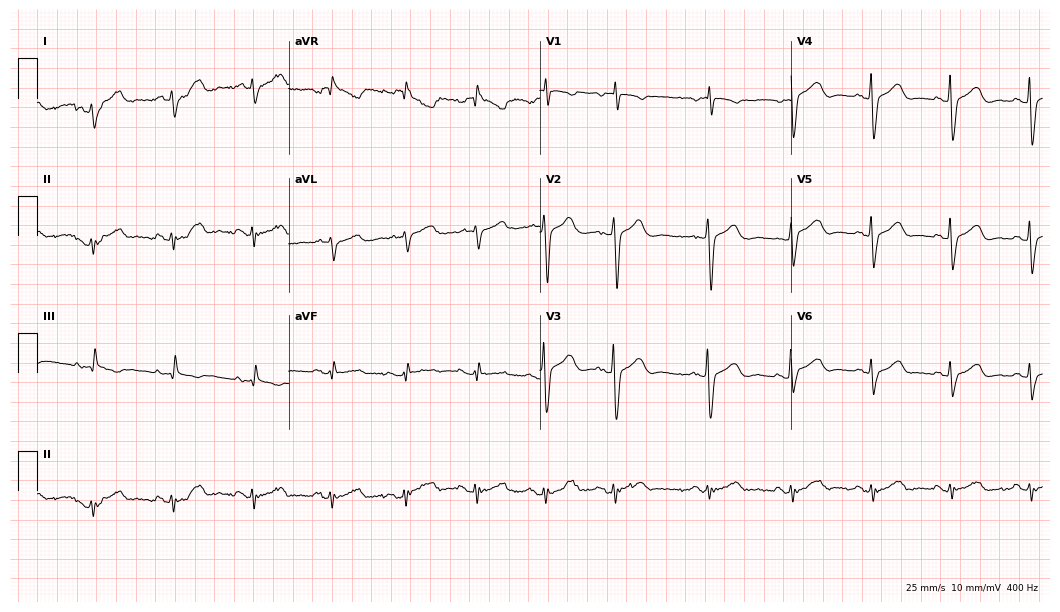
12-lead ECG from a female patient, 84 years old. Screened for six findings — first-degree AV block, right bundle branch block, left bundle branch block, sinus bradycardia, atrial fibrillation, sinus tachycardia — none is recorded. Only these six findings were labelled.